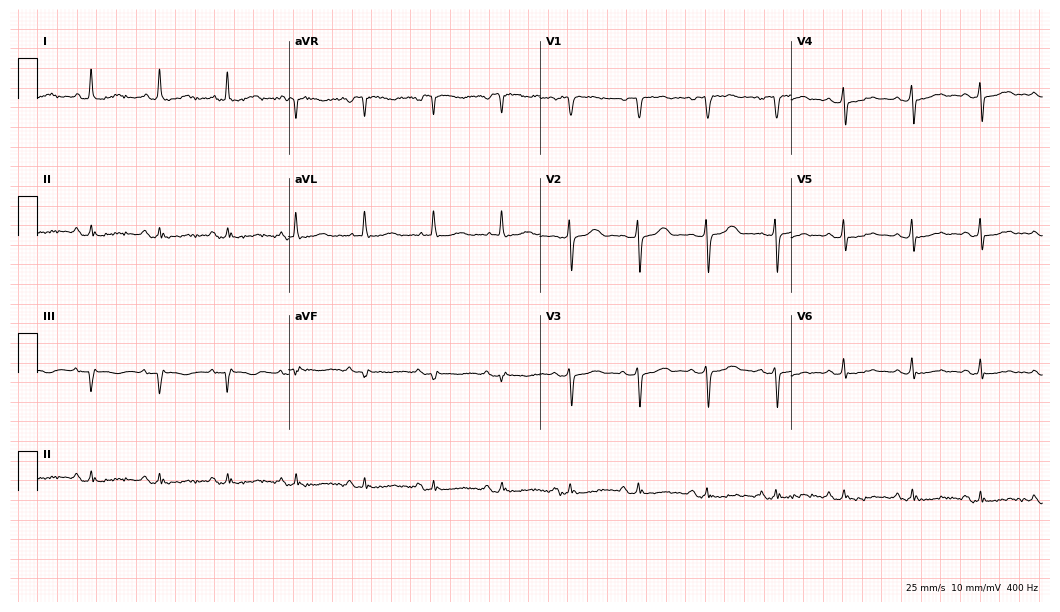
Standard 12-lead ECG recorded from a 70-year-old woman. Read as a normal ECG.